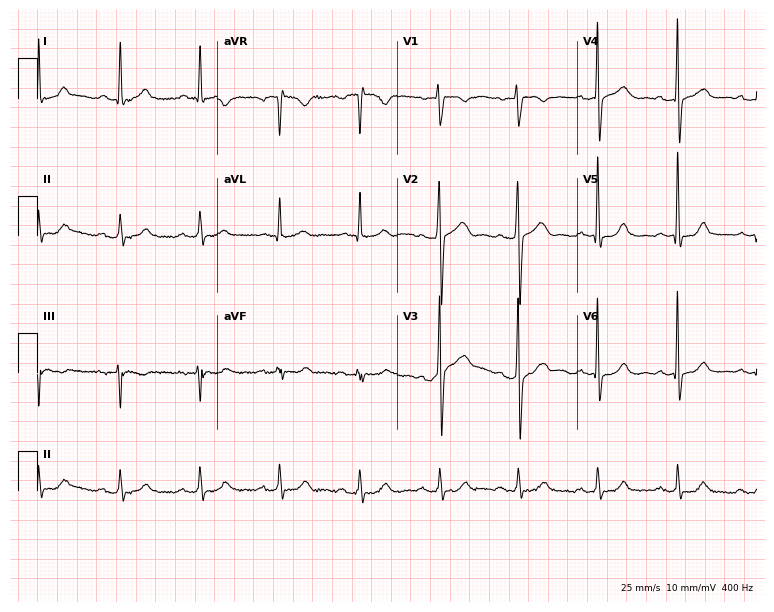
Standard 12-lead ECG recorded from a male patient, 55 years old (7.3-second recording at 400 Hz). Read as a normal ECG.